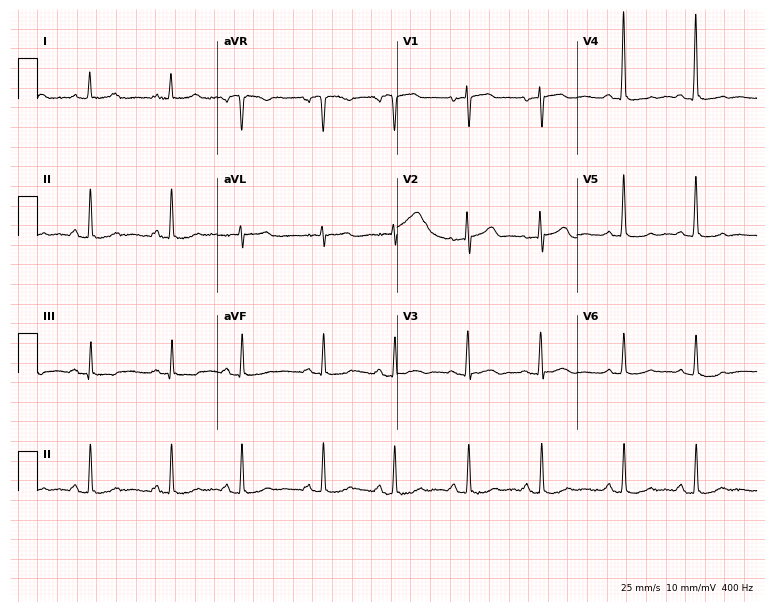
Standard 12-lead ECG recorded from a woman, 65 years old. Read as a normal ECG.